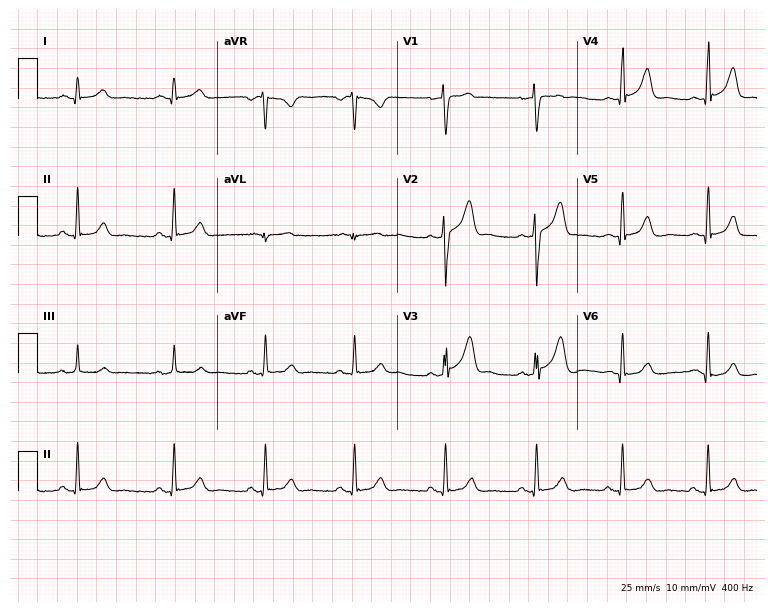
ECG (7.3-second recording at 400 Hz) — a male patient, 32 years old. Screened for six findings — first-degree AV block, right bundle branch block (RBBB), left bundle branch block (LBBB), sinus bradycardia, atrial fibrillation (AF), sinus tachycardia — none is recorded.